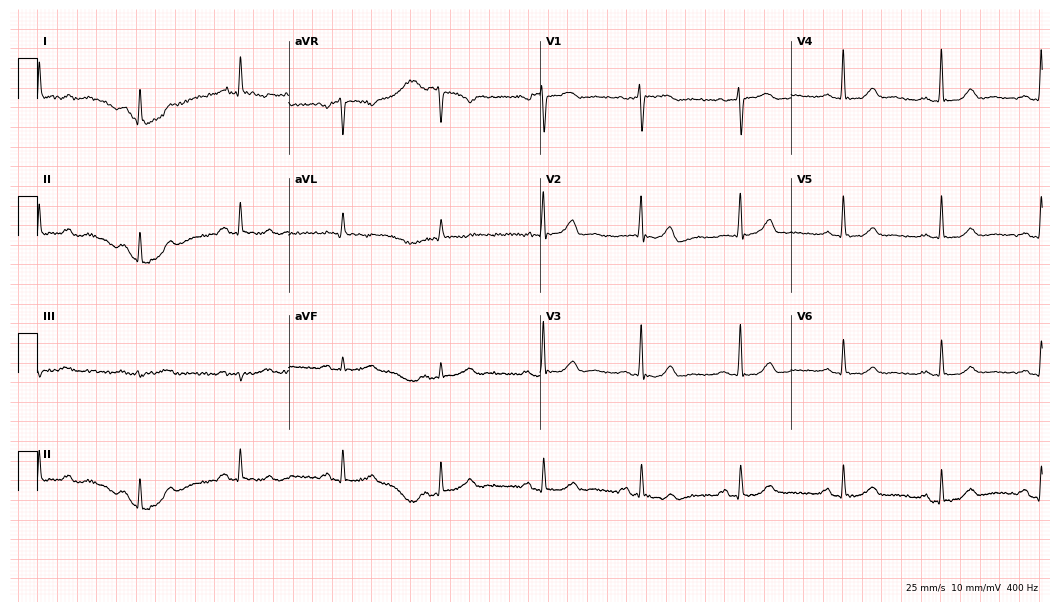
Electrocardiogram (10.2-second recording at 400 Hz), a 74-year-old female patient. Of the six screened findings (first-degree AV block, right bundle branch block, left bundle branch block, sinus bradycardia, atrial fibrillation, sinus tachycardia), none is recorded. Only these six findings were labelled.